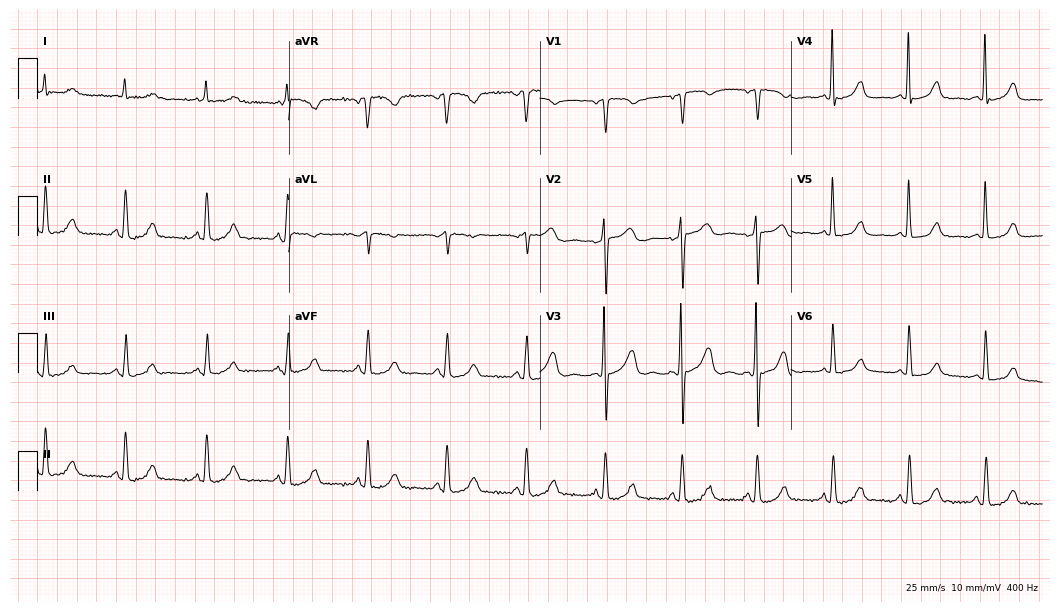
Resting 12-lead electrocardiogram (10.2-second recording at 400 Hz). Patient: a woman, 70 years old. None of these six findings is recorded: first-degree AV block, right bundle branch block, left bundle branch block, sinus bradycardia, atrial fibrillation, sinus tachycardia. Findings outside these six are not listed.